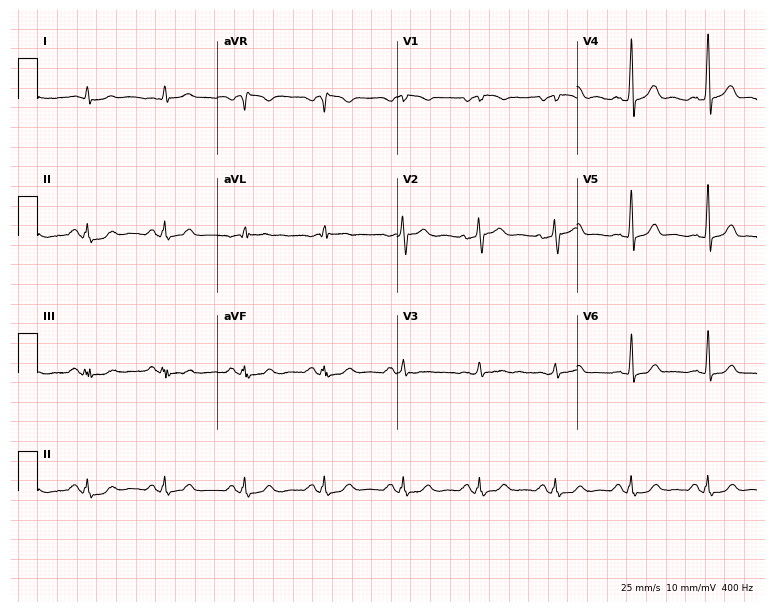
Resting 12-lead electrocardiogram (7.3-second recording at 400 Hz). Patient: a male, 49 years old. None of these six findings is recorded: first-degree AV block, right bundle branch block, left bundle branch block, sinus bradycardia, atrial fibrillation, sinus tachycardia. Other findings, if any, are not listed.